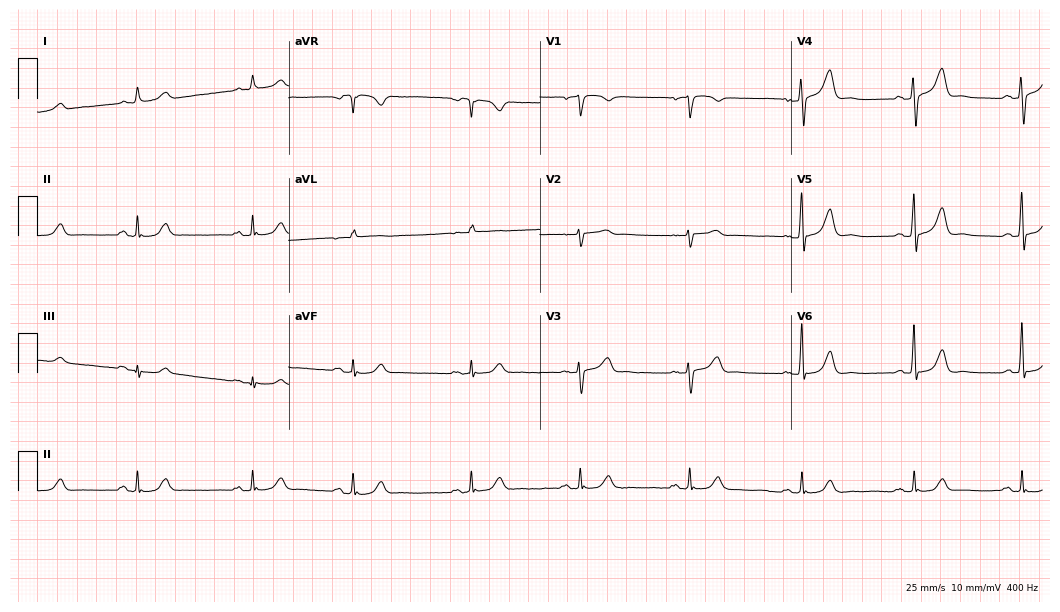
12-lead ECG from a 62-year-old male patient. Recorded interpretation: within normal limits.